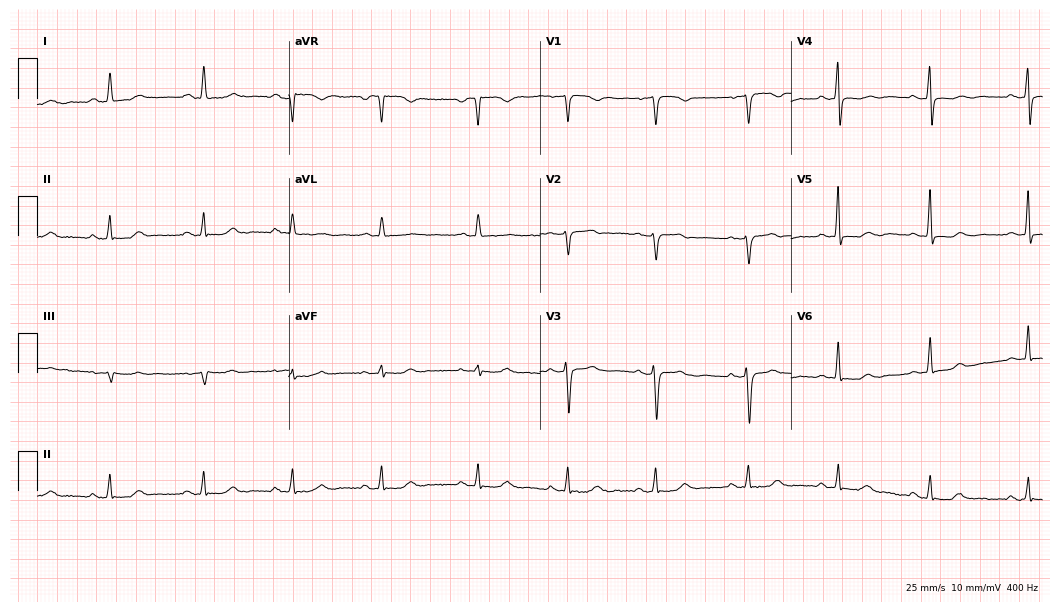
Resting 12-lead electrocardiogram. Patient: a female, 56 years old. None of these six findings is recorded: first-degree AV block, right bundle branch block, left bundle branch block, sinus bradycardia, atrial fibrillation, sinus tachycardia. Other findings, if any, are not listed.